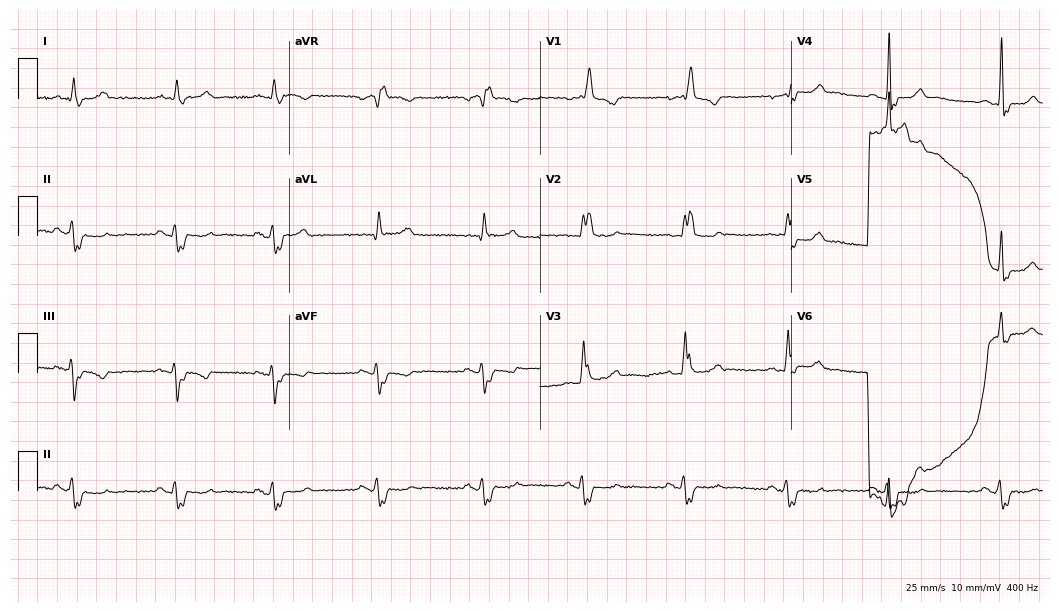
ECG (10.2-second recording at 400 Hz) — a female, 34 years old. Screened for six findings — first-degree AV block, right bundle branch block (RBBB), left bundle branch block (LBBB), sinus bradycardia, atrial fibrillation (AF), sinus tachycardia — none is recorded.